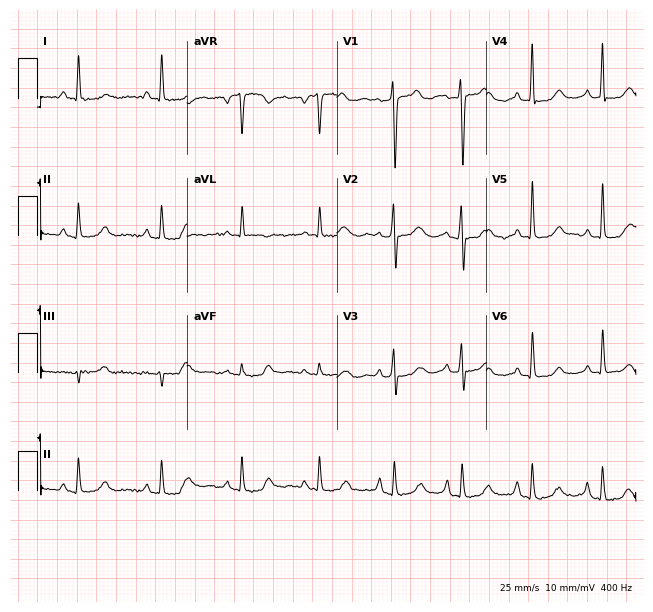
Resting 12-lead electrocardiogram (6.1-second recording at 400 Hz). Patient: a 63-year-old woman. None of these six findings is recorded: first-degree AV block, right bundle branch block, left bundle branch block, sinus bradycardia, atrial fibrillation, sinus tachycardia. Other findings, if any, are not listed.